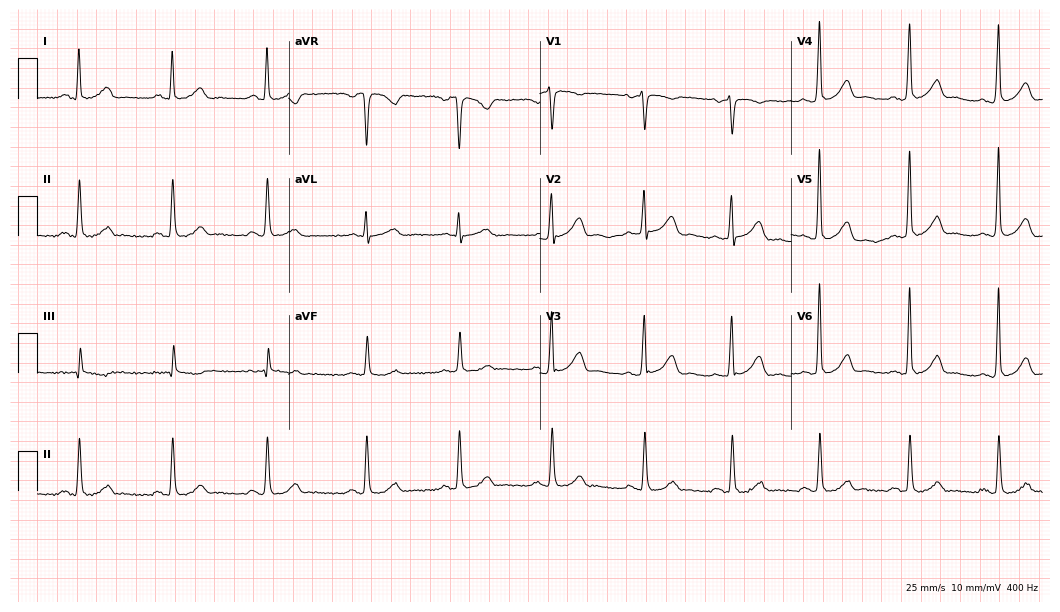
Standard 12-lead ECG recorded from a man, 26 years old (10.2-second recording at 400 Hz). None of these six findings is recorded: first-degree AV block, right bundle branch block, left bundle branch block, sinus bradycardia, atrial fibrillation, sinus tachycardia.